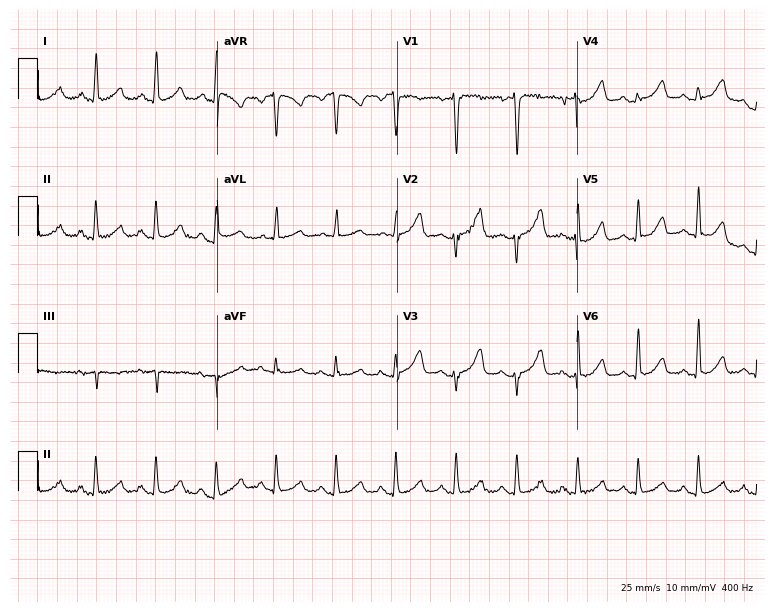
12-lead ECG from a woman, 55 years old. Screened for six findings — first-degree AV block, right bundle branch block (RBBB), left bundle branch block (LBBB), sinus bradycardia, atrial fibrillation (AF), sinus tachycardia — none is recorded.